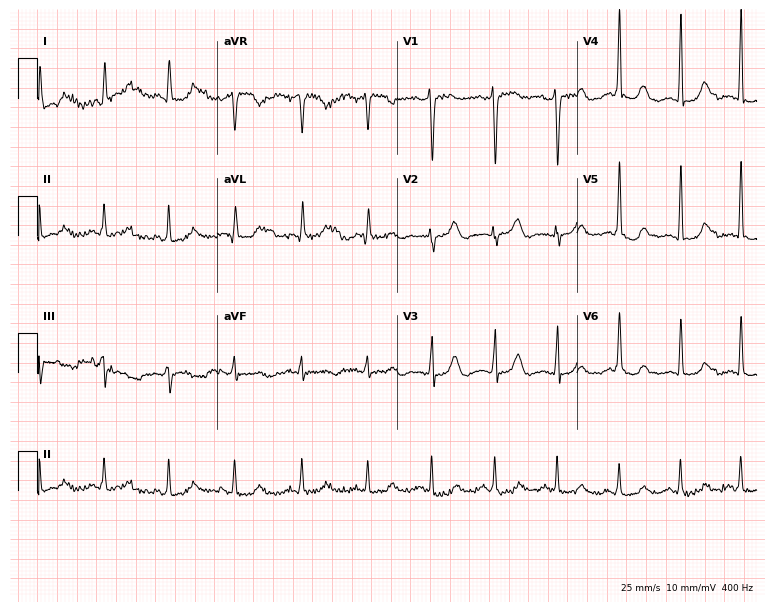
12-lead ECG from a man, 46 years old (7.3-second recording at 400 Hz). No first-degree AV block, right bundle branch block (RBBB), left bundle branch block (LBBB), sinus bradycardia, atrial fibrillation (AF) or sinus tachycardia recorded for this tracing.